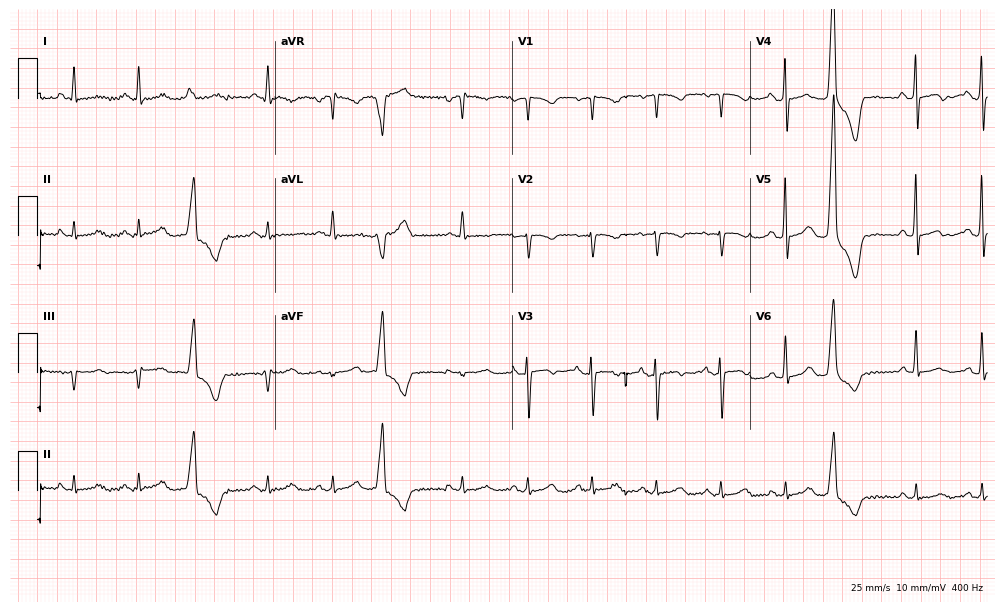
12-lead ECG from a 25-year-old male. Screened for six findings — first-degree AV block, right bundle branch block, left bundle branch block, sinus bradycardia, atrial fibrillation, sinus tachycardia — none is recorded.